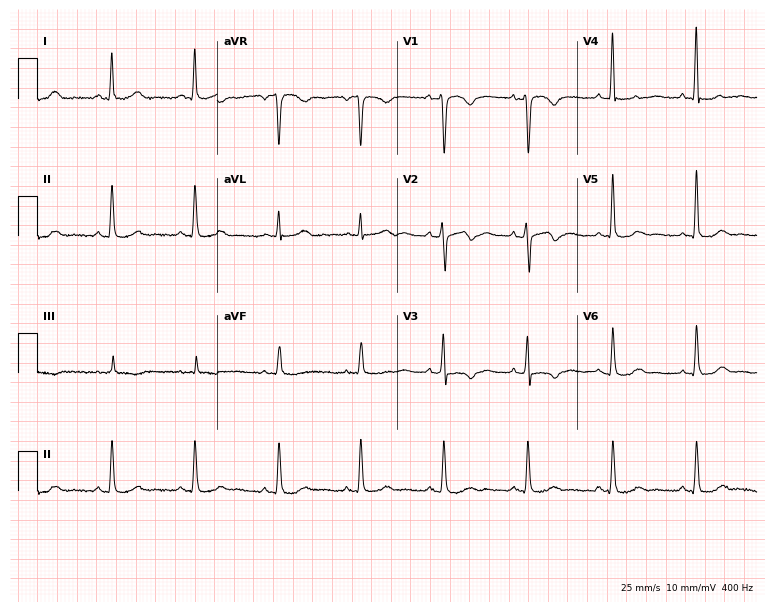
Resting 12-lead electrocardiogram. Patient: a male, 47 years old. None of these six findings is recorded: first-degree AV block, right bundle branch block, left bundle branch block, sinus bradycardia, atrial fibrillation, sinus tachycardia.